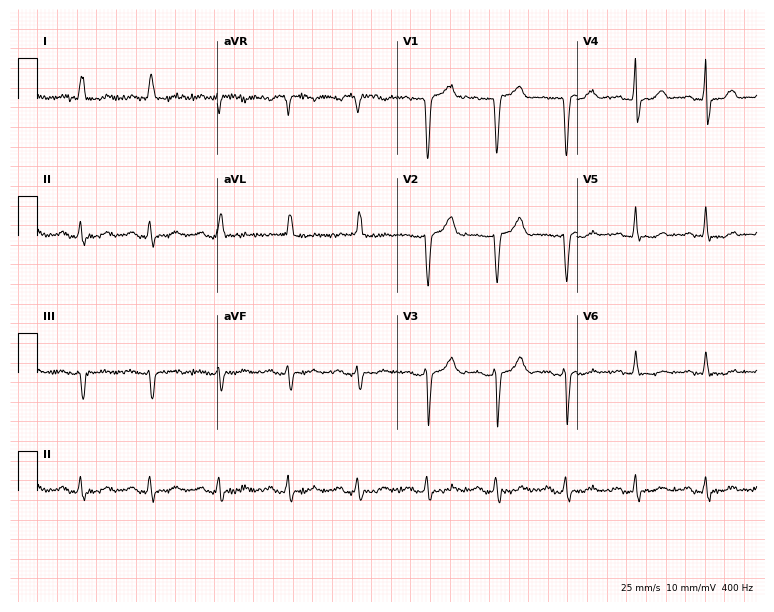
ECG (7.3-second recording at 400 Hz) — a woman, 76 years old. Screened for six findings — first-degree AV block, right bundle branch block, left bundle branch block, sinus bradycardia, atrial fibrillation, sinus tachycardia — none is recorded.